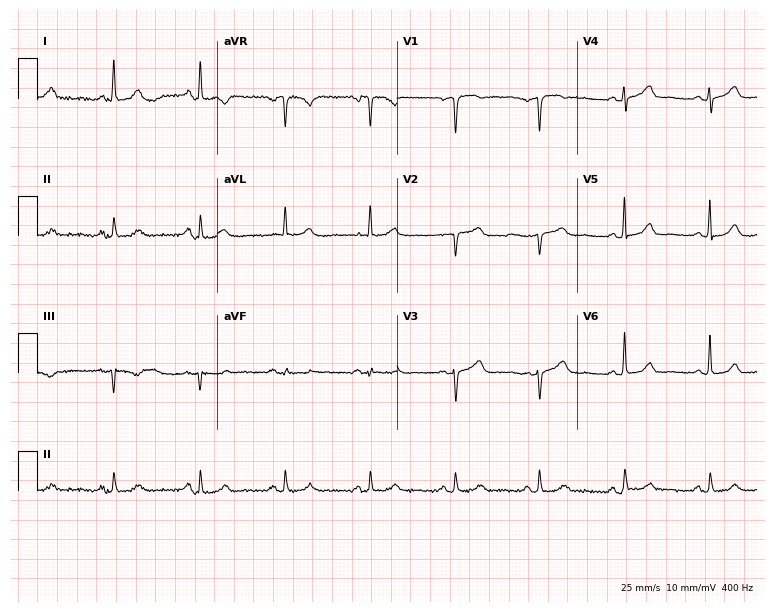
12-lead ECG from a 70-year-old female patient. Screened for six findings — first-degree AV block, right bundle branch block, left bundle branch block, sinus bradycardia, atrial fibrillation, sinus tachycardia — none is recorded.